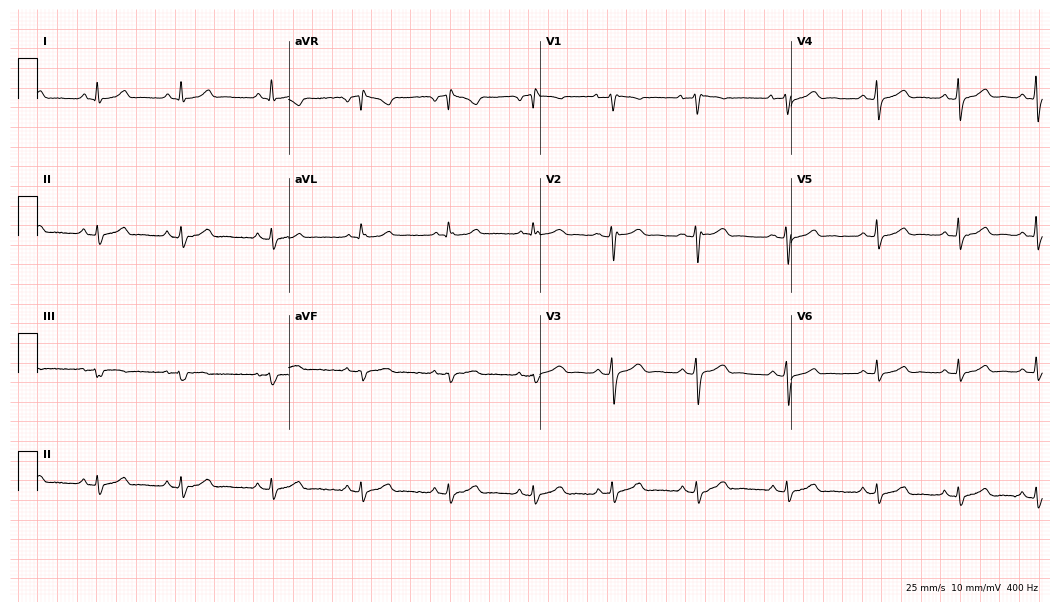
Electrocardiogram (10.2-second recording at 400 Hz), a woman, 38 years old. Overall reading on record: normal ECG.